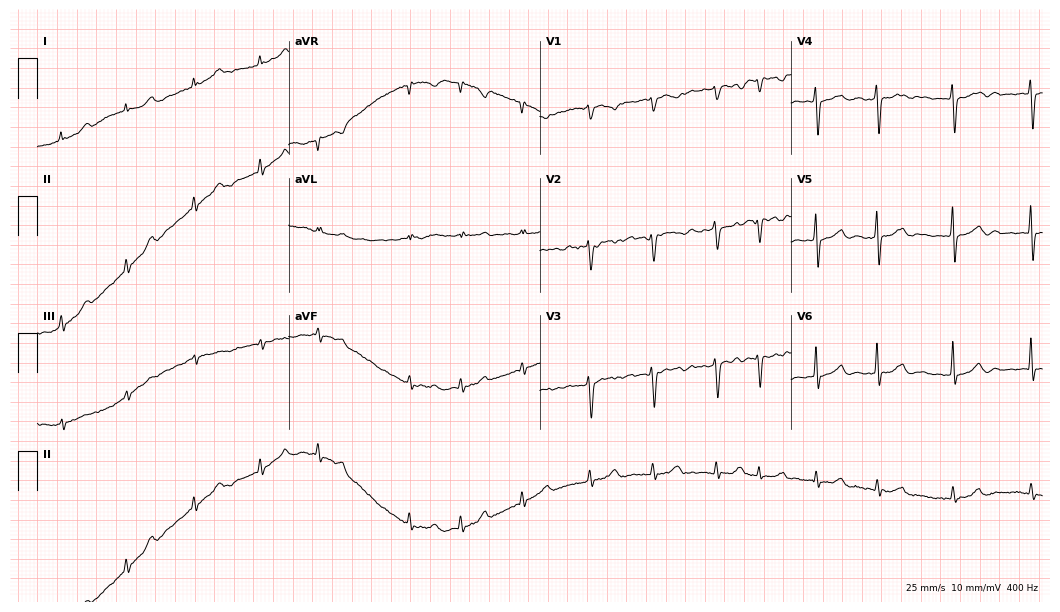
Standard 12-lead ECG recorded from a female patient, 60 years old. None of these six findings is recorded: first-degree AV block, right bundle branch block (RBBB), left bundle branch block (LBBB), sinus bradycardia, atrial fibrillation (AF), sinus tachycardia.